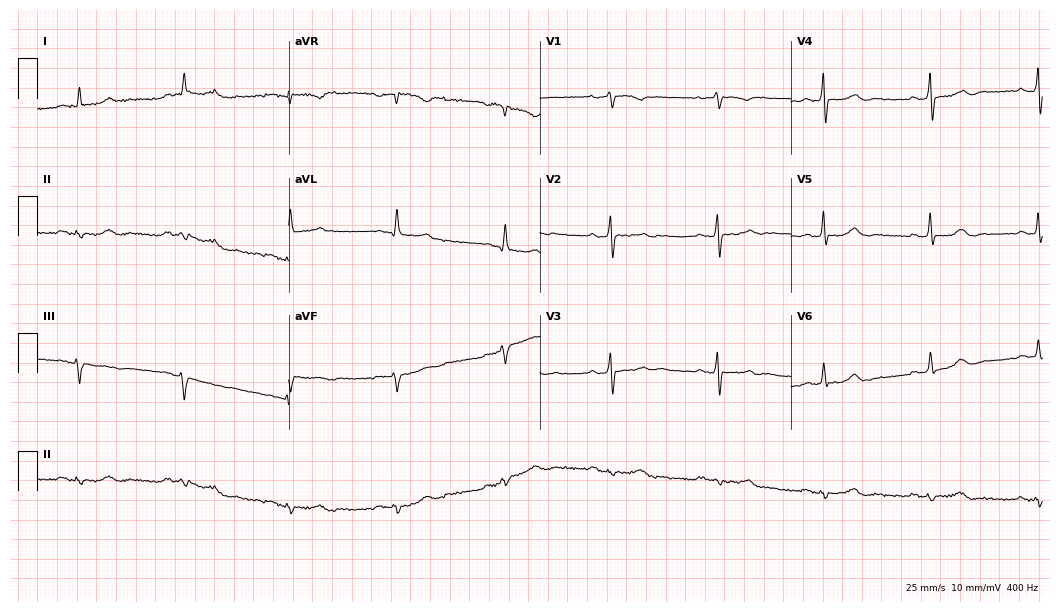
Resting 12-lead electrocardiogram (10.2-second recording at 400 Hz). Patient: an 80-year-old male. None of these six findings is recorded: first-degree AV block, right bundle branch block, left bundle branch block, sinus bradycardia, atrial fibrillation, sinus tachycardia.